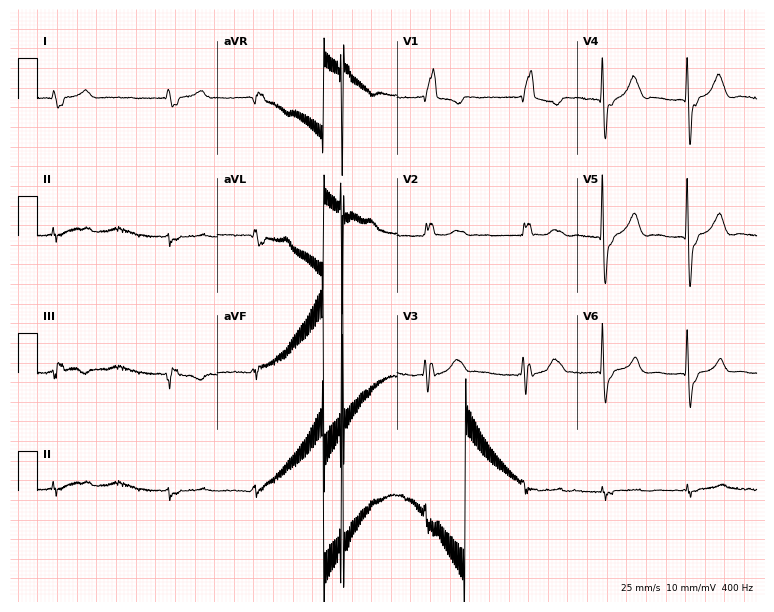
ECG — a female patient, 82 years old. Screened for six findings — first-degree AV block, right bundle branch block, left bundle branch block, sinus bradycardia, atrial fibrillation, sinus tachycardia — none is recorded. Findings outside these six are not listed.